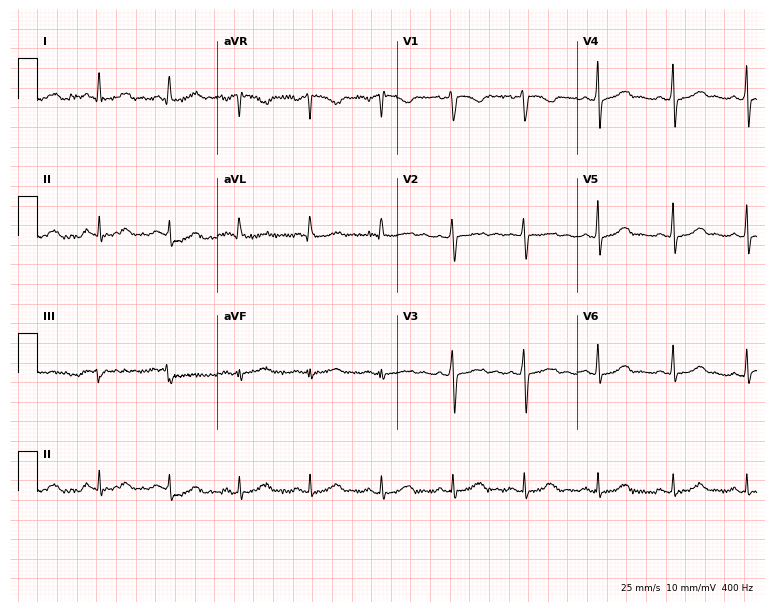
ECG — a 36-year-old female patient. Labelled as a normal ECG.